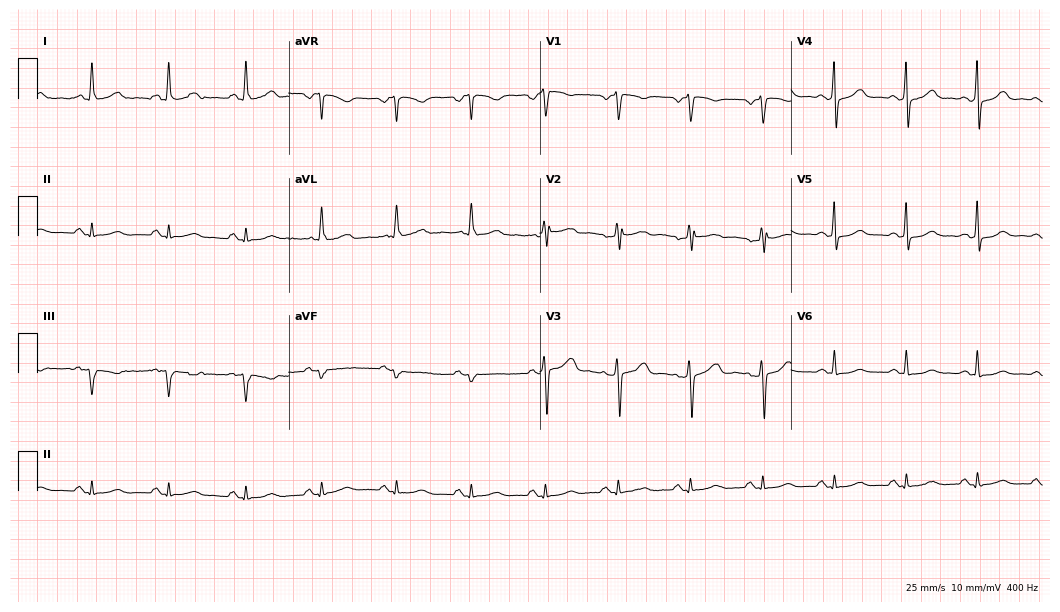
12-lead ECG from a female patient, 50 years old. Recorded interpretation: within normal limits.